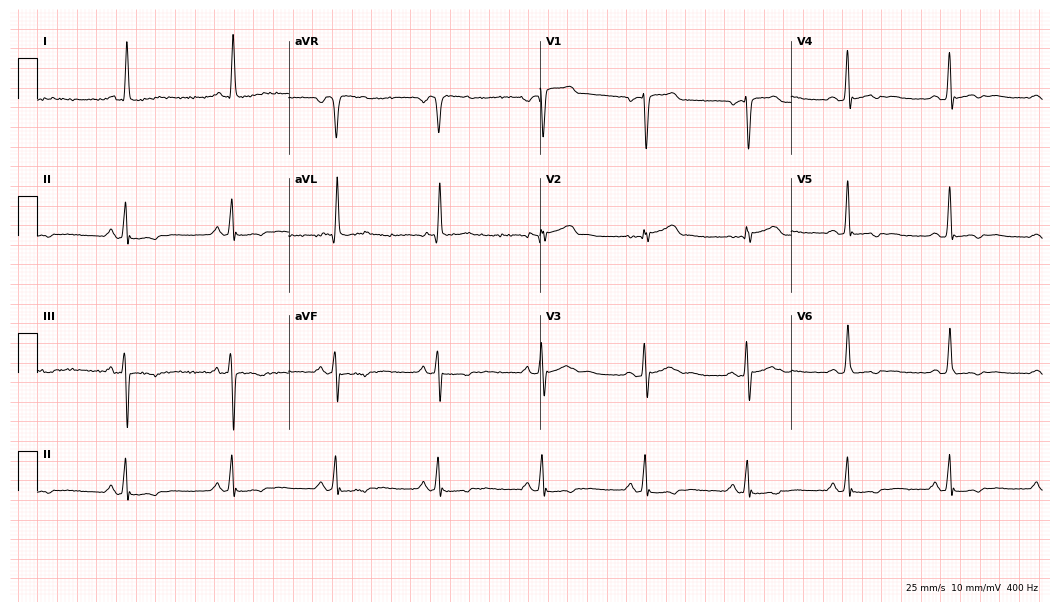
Electrocardiogram (10.2-second recording at 400 Hz), a male patient, 67 years old. Of the six screened findings (first-degree AV block, right bundle branch block, left bundle branch block, sinus bradycardia, atrial fibrillation, sinus tachycardia), none is recorded. Only these six findings were labelled.